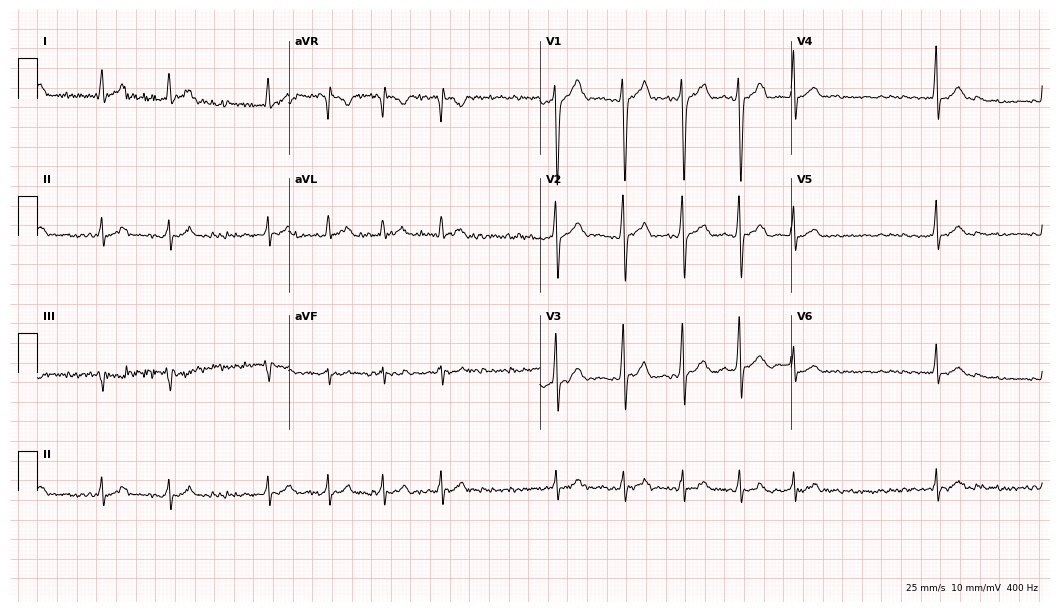
12-lead ECG from a man, 28 years old. Screened for six findings — first-degree AV block, right bundle branch block, left bundle branch block, sinus bradycardia, atrial fibrillation, sinus tachycardia — none is recorded.